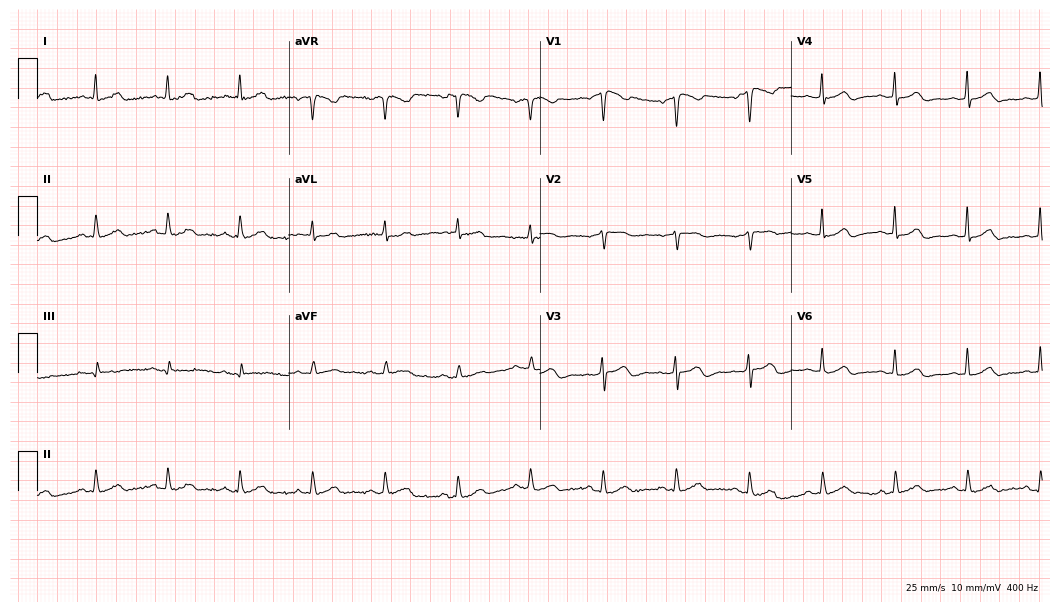
Standard 12-lead ECG recorded from a 59-year-old woman. Read as a normal ECG.